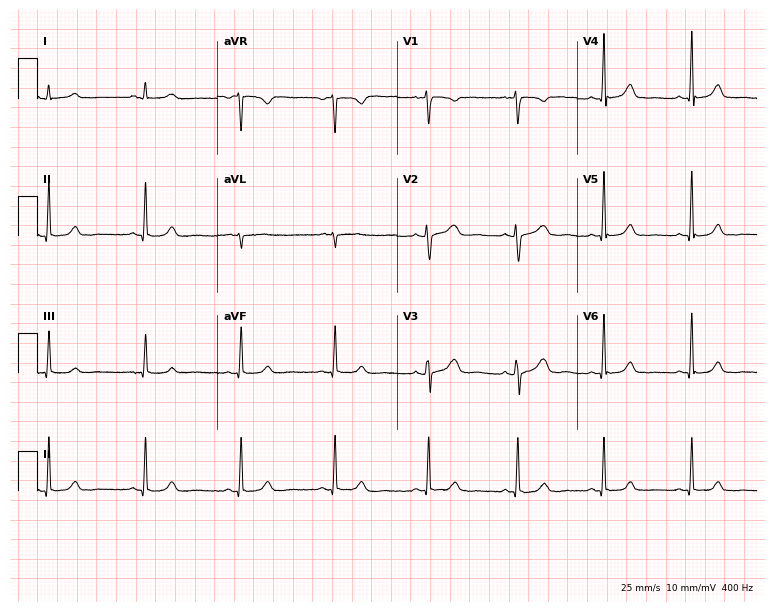
12-lead ECG from a female patient, 34 years old (7.3-second recording at 400 Hz). No first-degree AV block, right bundle branch block (RBBB), left bundle branch block (LBBB), sinus bradycardia, atrial fibrillation (AF) or sinus tachycardia recorded for this tracing. Findings outside these six are not listed.